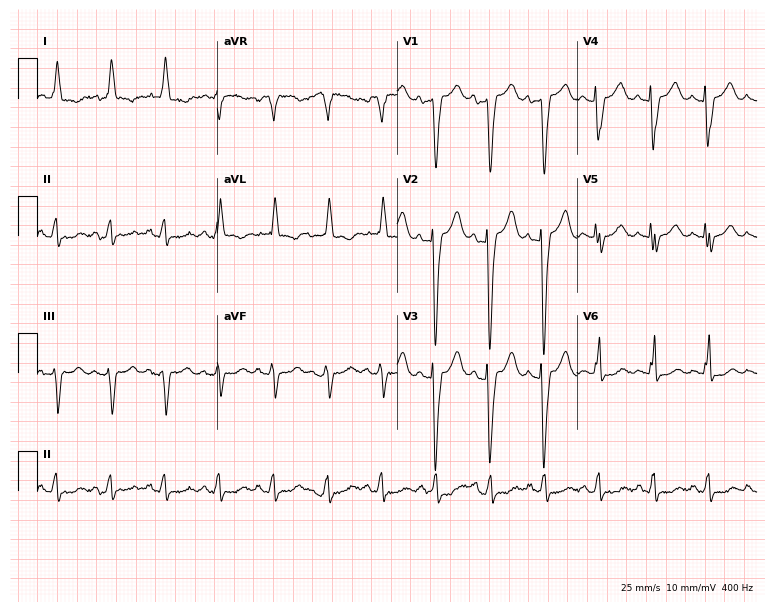
Standard 12-lead ECG recorded from a woman, 72 years old (7.3-second recording at 400 Hz). The tracing shows sinus tachycardia (a sinus rate of 100 beats per minute or more).